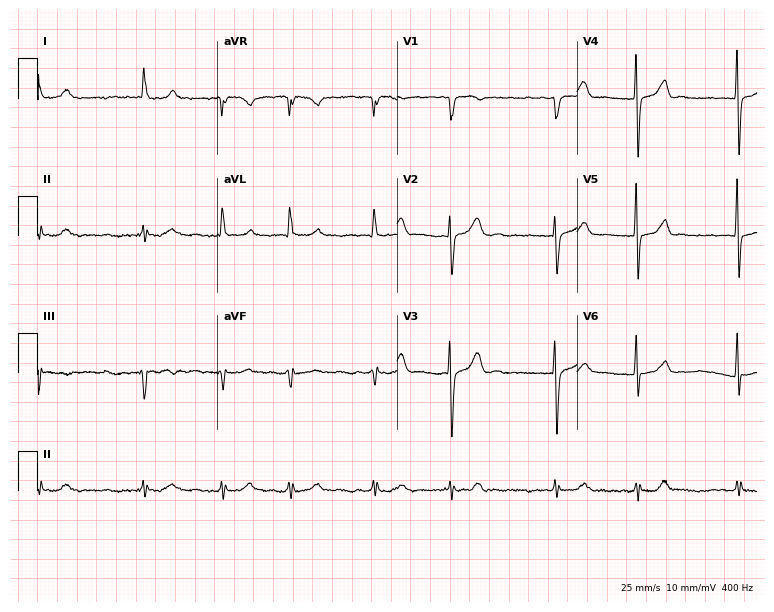
Standard 12-lead ECG recorded from an 80-year-old female patient. The tracing shows atrial fibrillation.